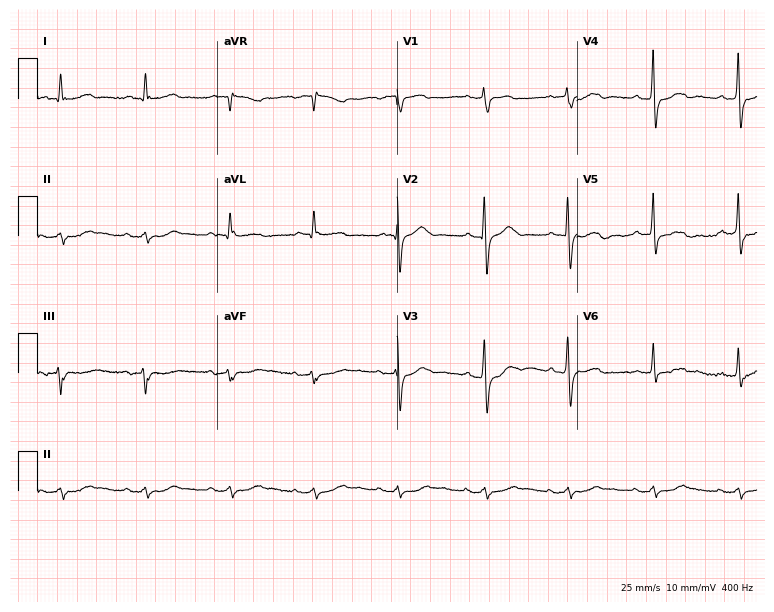
ECG (7.3-second recording at 400 Hz) — a 79-year-old male. Screened for six findings — first-degree AV block, right bundle branch block, left bundle branch block, sinus bradycardia, atrial fibrillation, sinus tachycardia — none is recorded. Other findings, if any, are not listed.